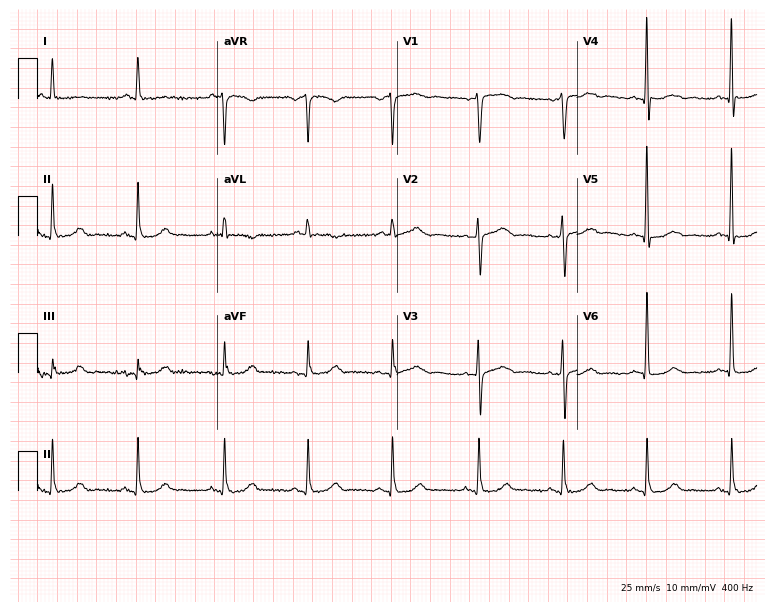
Electrocardiogram, a female, 70 years old. Of the six screened findings (first-degree AV block, right bundle branch block (RBBB), left bundle branch block (LBBB), sinus bradycardia, atrial fibrillation (AF), sinus tachycardia), none is recorded.